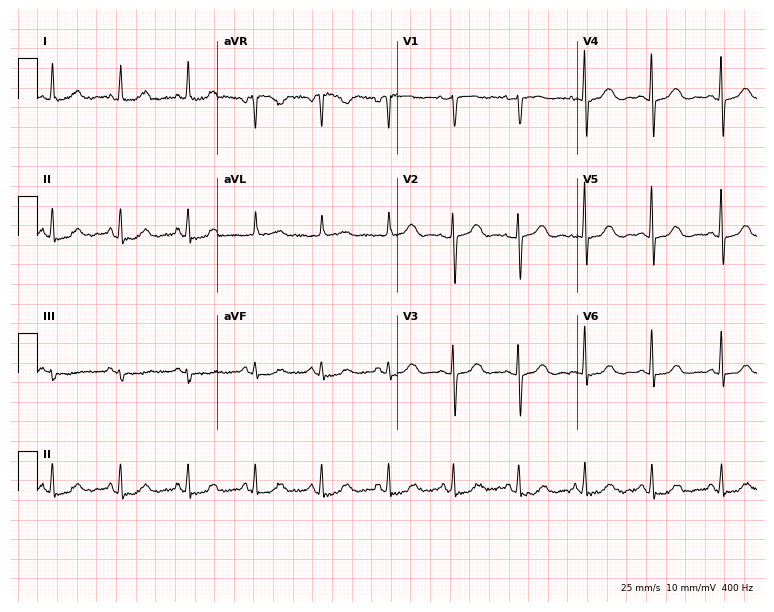
ECG (7.3-second recording at 400 Hz) — a female patient, 77 years old. Screened for six findings — first-degree AV block, right bundle branch block (RBBB), left bundle branch block (LBBB), sinus bradycardia, atrial fibrillation (AF), sinus tachycardia — none is recorded.